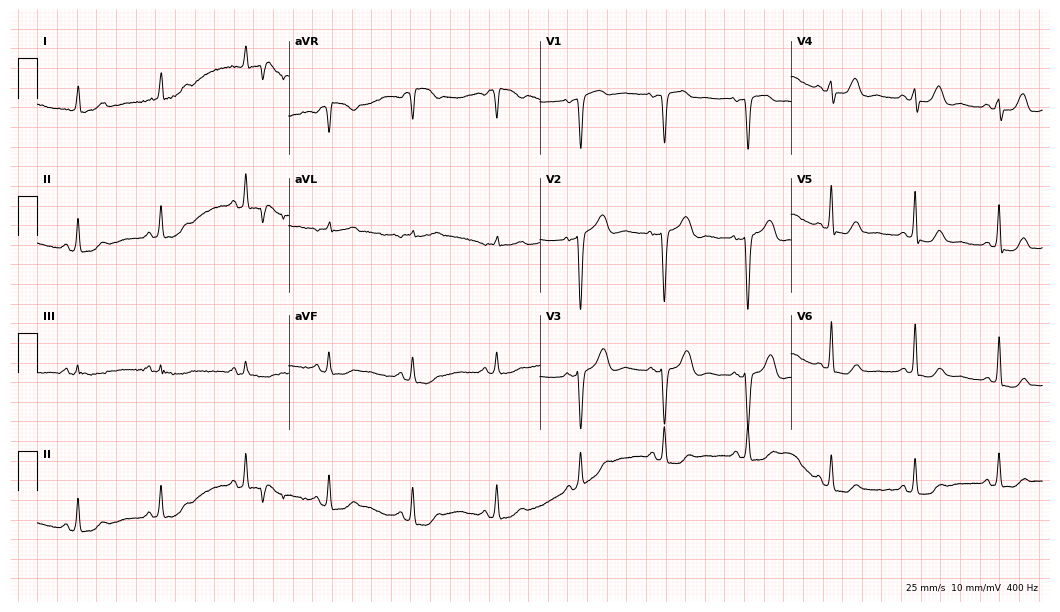
Electrocardiogram, an 83-year-old female. Of the six screened findings (first-degree AV block, right bundle branch block, left bundle branch block, sinus bradycardia, atrial fibrillation, sinus tachycardia), none is recorded.